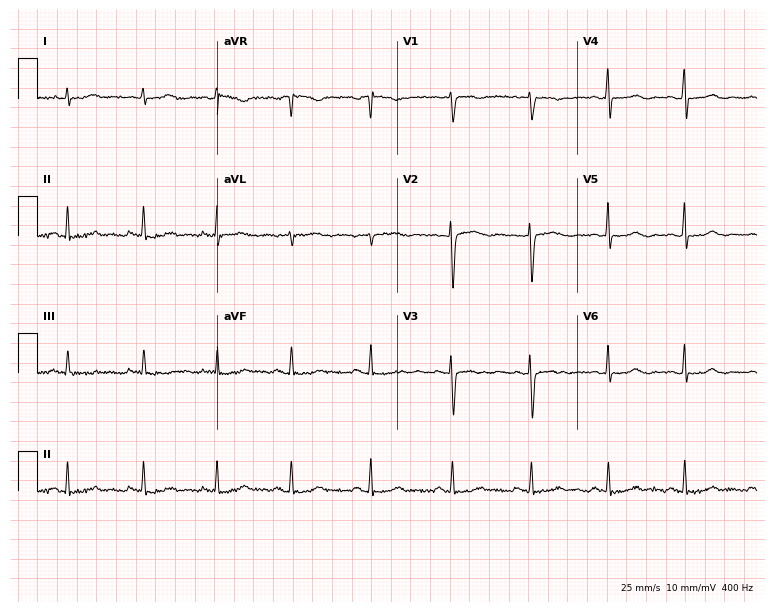
ECG — a 33-year-old female patient. Labelled as a normal ECG.